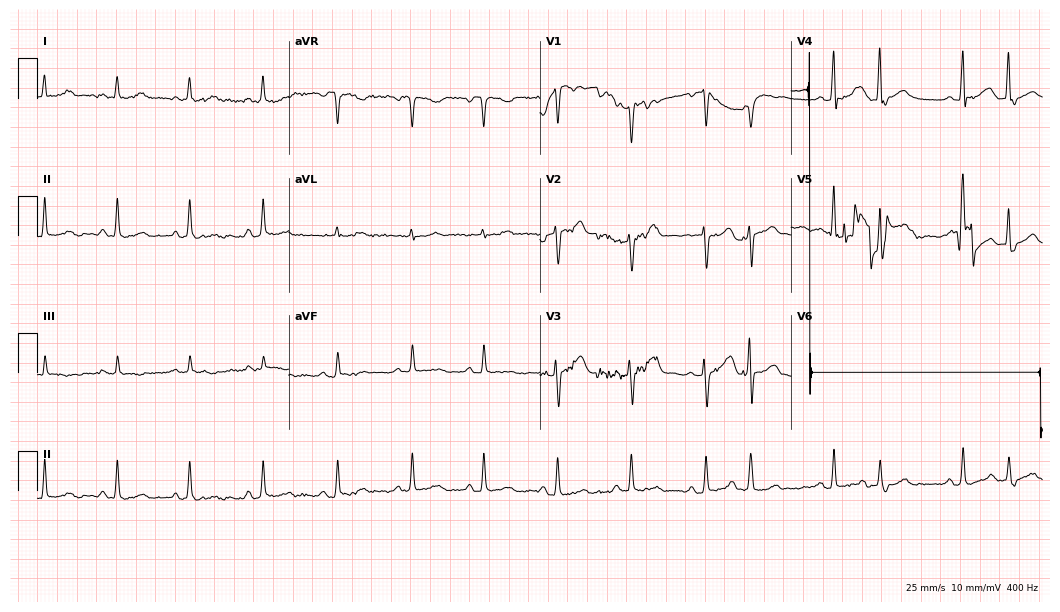
Standard 12-lead ECG recorded from a woman, 55 years old. None of these six findings is recorded: first-degree AV block, right bundle branch block, left bundle branch block, sinus bradycardia, atrial fibrillation, sinus tachycardia.